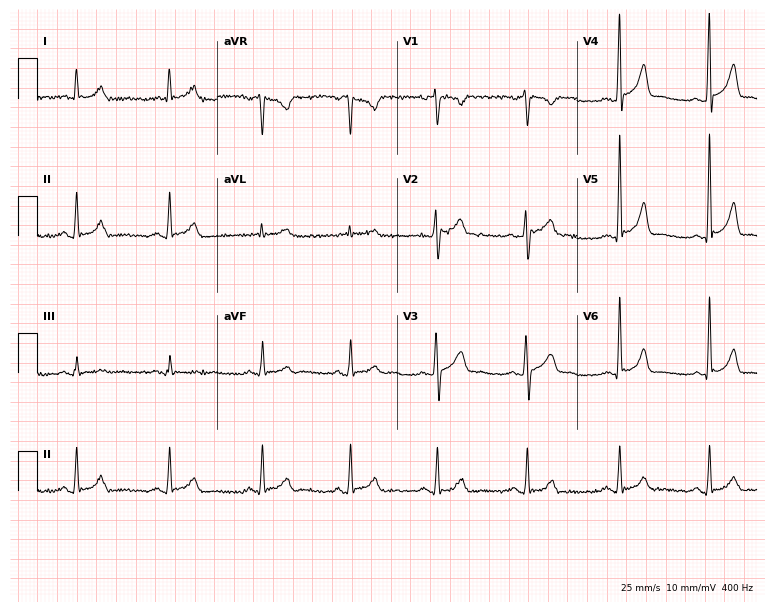
12-lead ECG from a man, 43 years old. Recorded interpretation: within normal limits.